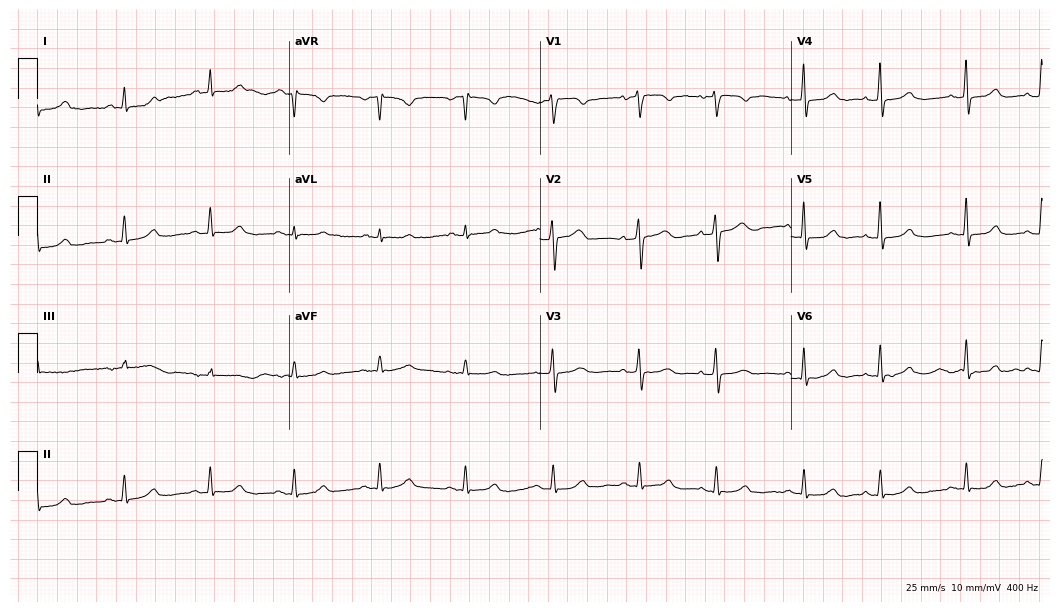
Electrocardiogram, a 55-year-old female. Of the six screened findings (first-degree AV block, right bundle branch block, left bundle branch block, sinus bradycardia, atrial fibrillation, sinus tachycardia), none is recorded.